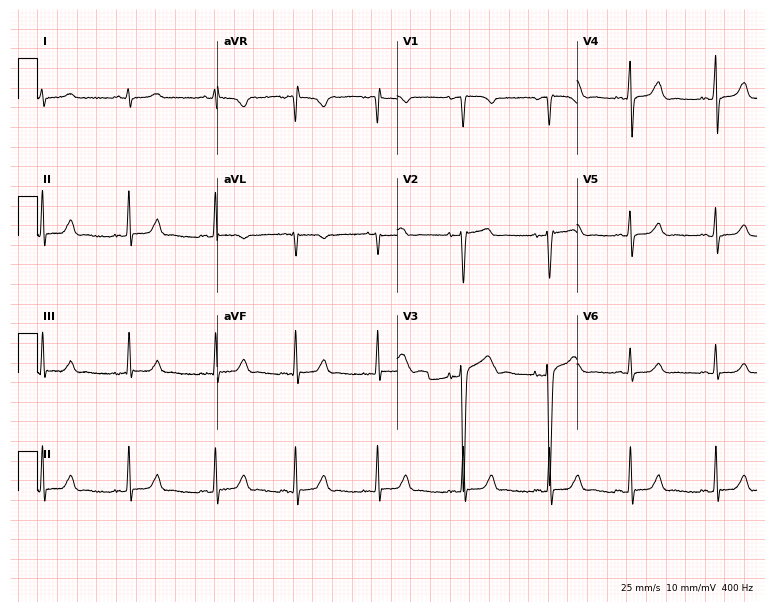
Standard 12-lead ECG recorded from a 45-year-old woman (7.3-second recording at 400 Hz). Read as a normal ECG.